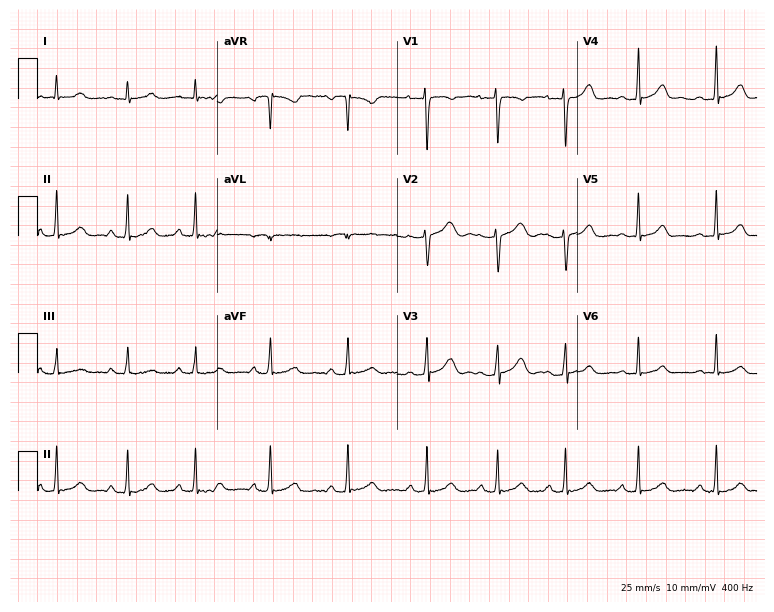
Resting 12-lead electrocardiogram (7.3-second recording at 400 Hz). Patient: a 20-year-old female. Read as a normal ECG.